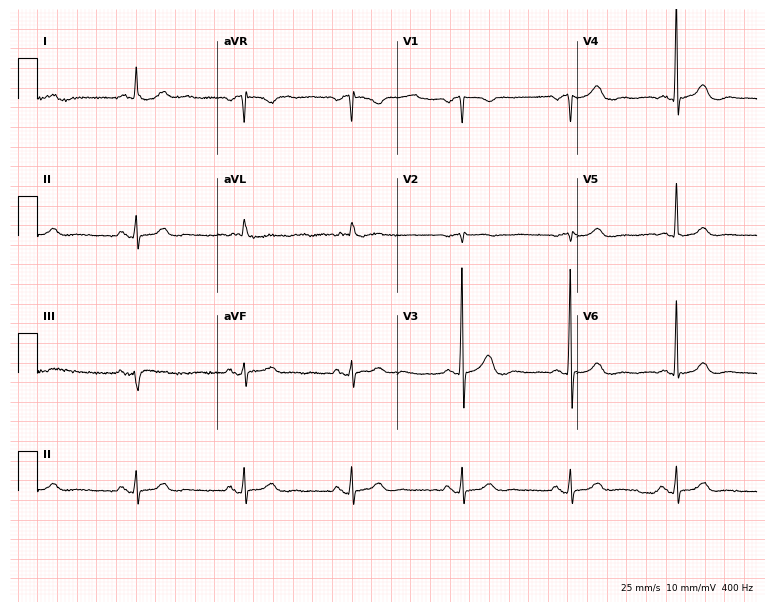
Resting 12-lead electrocardiogram (7.3-second recording at 400 Hz). Patient: a female, 75 years old. None of these six findings is recorded: first-degree AV block, right bundle branch block (RBBB), left bundle branch block (LBBB), sinus bradycardia, atrial fibrillation (AF), sinus tachycardia. Other findings, if any, are not listed.